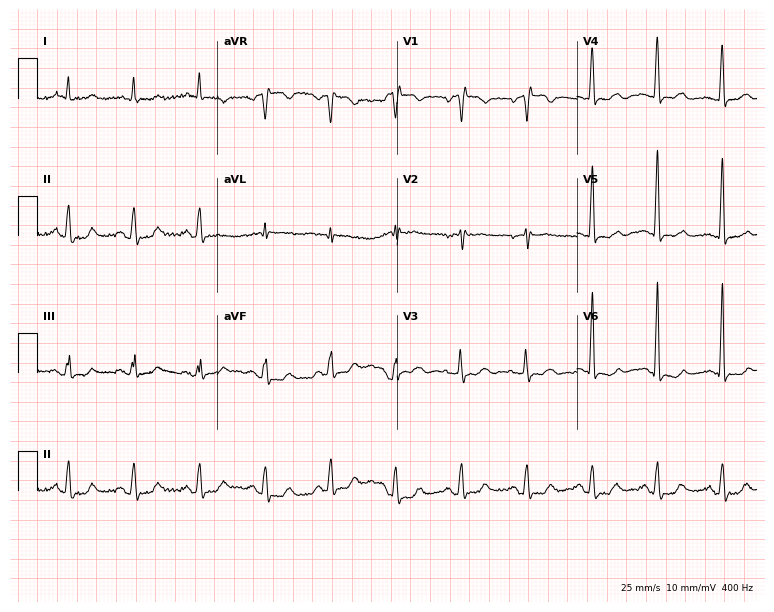
12-lead ECG from an 84-year-old female patient. No first-degree AV block, right bundle branch block (RBBB), left bundle branch block (LBBB), sinus bradycardia, atrial fibrillation (AF) or sinus tachycardia recorded for this tracing.